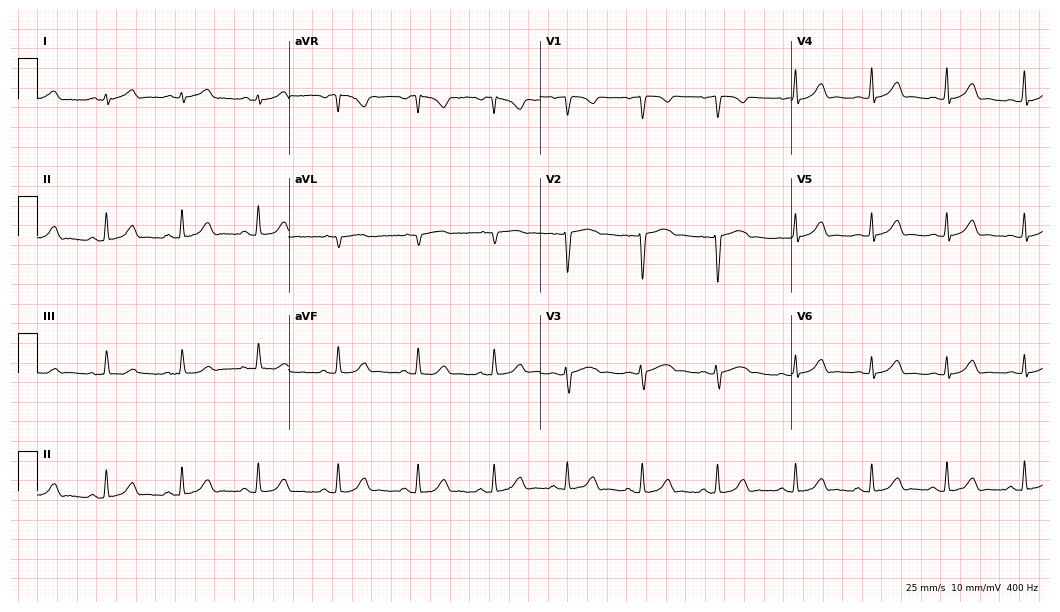
Standard 12-lead ECG recorded from a female patient, 24 years old. None of these six findings is recorded: first-degree AV block, right bundle branch block, left bundle branch block, sinus bradycardia, atrial fibrillation, sinus tachycardia. Other findings, if any, are not listed.